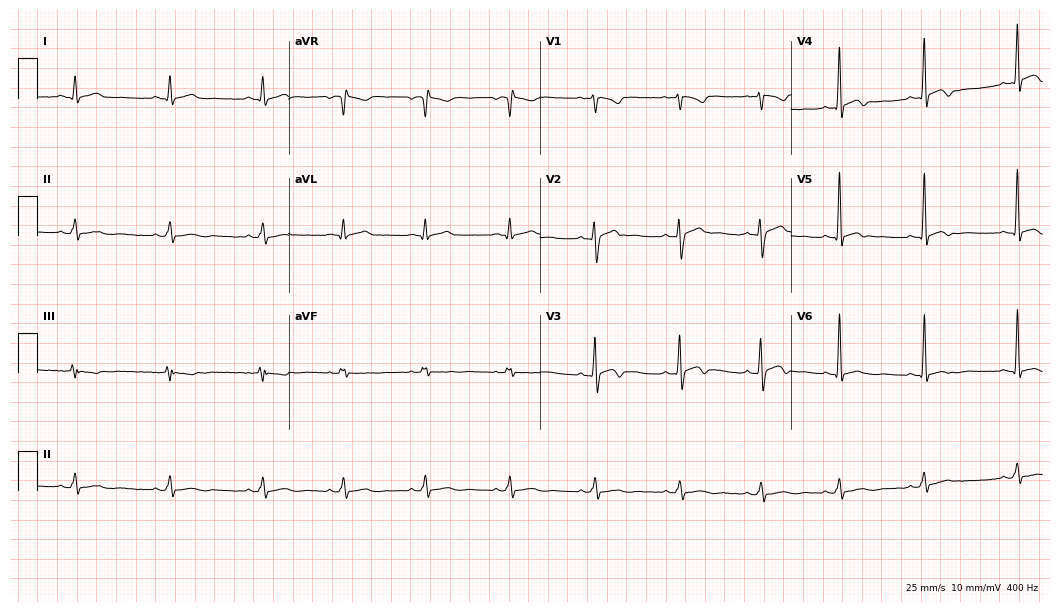
ECG — a man, 27 years old. Screened for six findings — first-degree AV block, right bundle branch block, left bundle branch block, sinus bradycardia, atrial fibrillation, sinus tachycardia — none is recorded. Only these six findings were labelled.